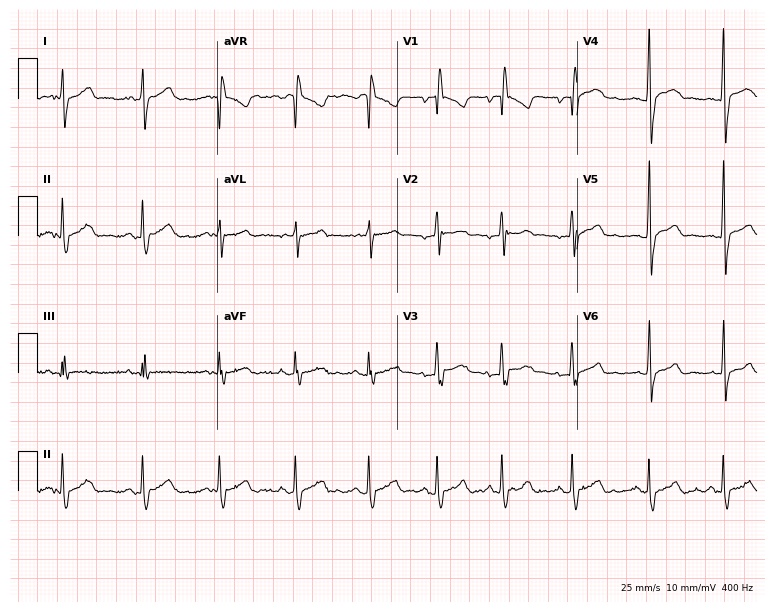
Resting 12-lead electrocardiogram. Patient: a 20-year-old man. None of these six findings is recorded: first-degree AV block, right bundle branch block, left bundle branch block, sinus bradycardia, atrial fibrillation, sinus tachycardia.